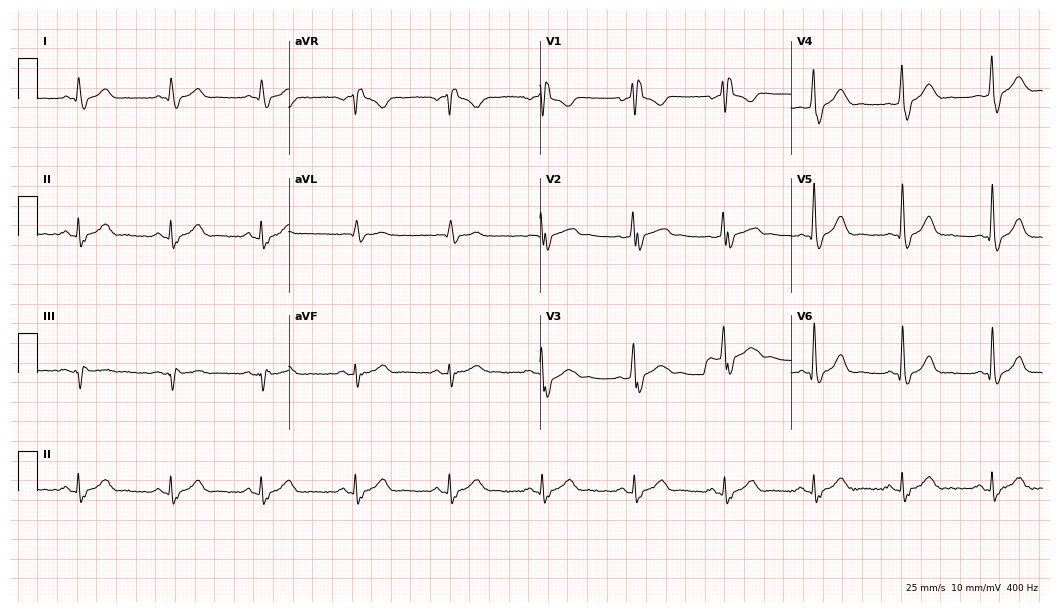
Electrocardiogram, a 69-year-old man. Interpretation includes right bundle branch block (RBBB).